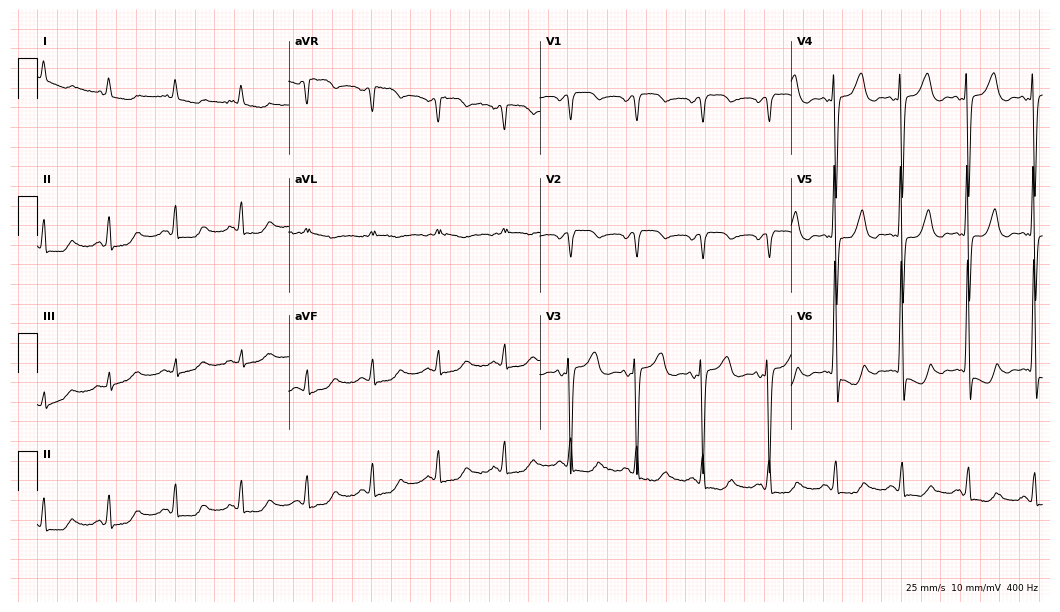
Electrocardiogram (10.2-second recording at 400 Hz), a 71-year-old female. Of the six screened findings (first-degree AV block, right bundle branch block (RBBB), left bundle branch block (LBBB), sinus bradycardia, atrial fibrillation (AF), sinus tachycardia), none is recorded. Only these six findings were labelled.